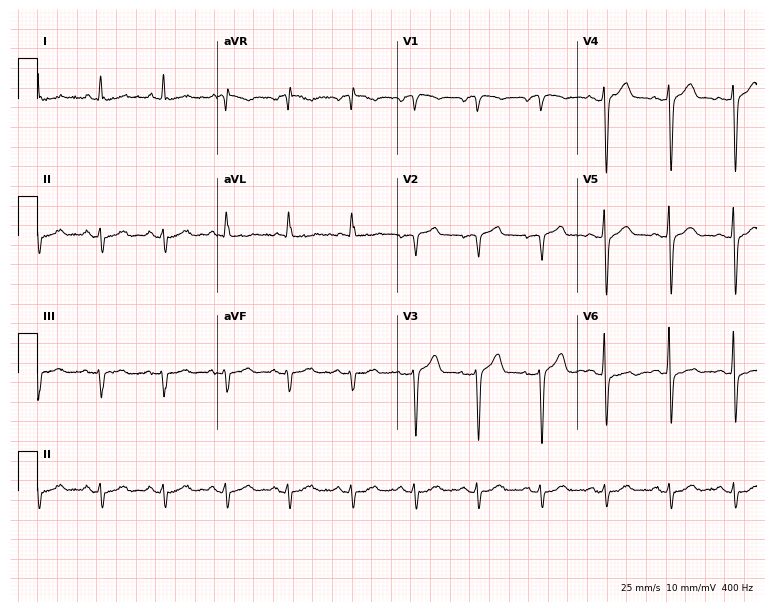
Electrocardiogram (7.3-second recording at 400 Hz), a male patient, 67 years old. Of the six screened findings (first-degree AV block, right bundle branch block, left bundle branch block, sinus bradycardia, atrial fibrillation, sinus tachycardia), none is recorded.